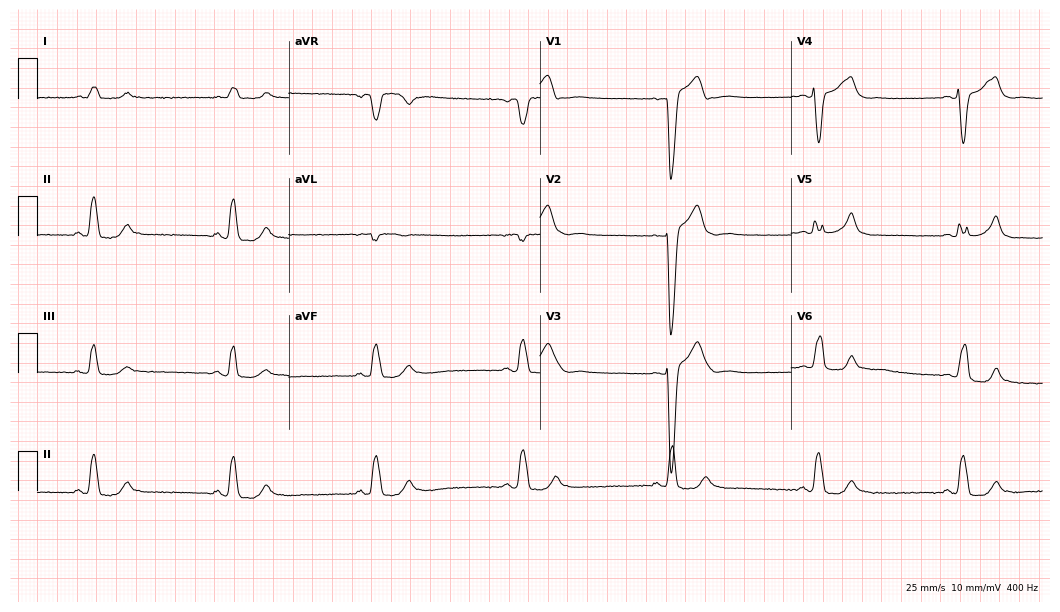
ECG (10.2-second recording at 400 Hz) — a 68-year-old male patient. Findings include left bundle branch block, sinus bradycardia (a sinus rate of 50 beats per minute or less).